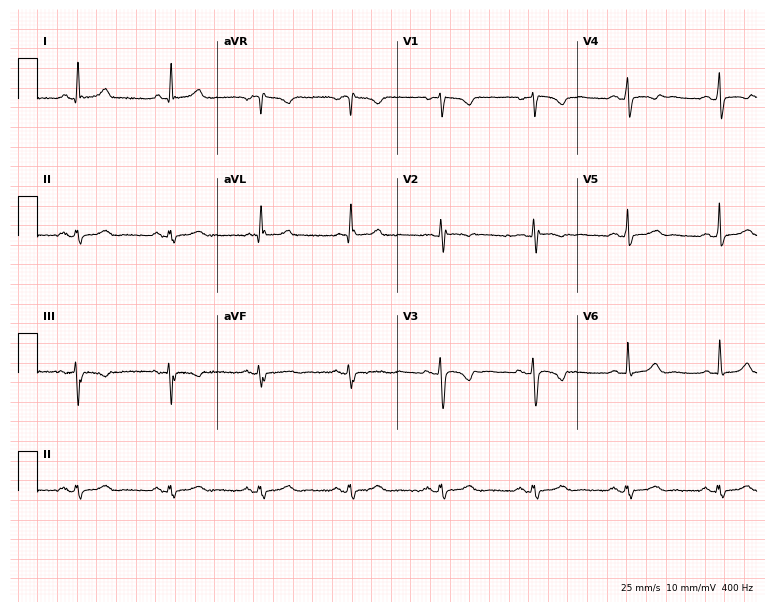
Electrocardiogram, a 45-year-old female patient. Of the six screened findings (first-degree AV block, right bundle branch block, left bundle branch block, sinus bradycardia, atrial fibrillation, sinus tachycardia), none is recorded.